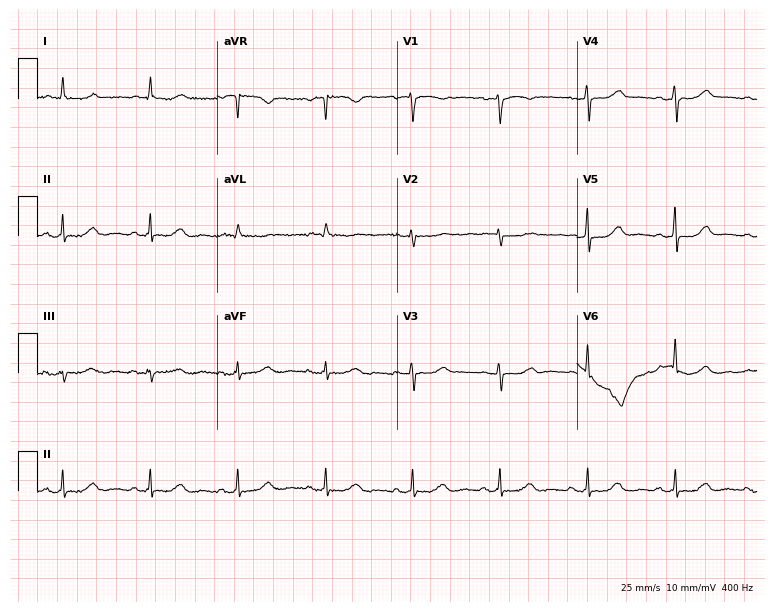
ECG — a 60-year-old woman. Screened for six findings — first-degree AV block, right bundle branch block, left bundle branch block, sinus bradycardia, atrial fibrillation, sinus tachycardia — none is recorded.